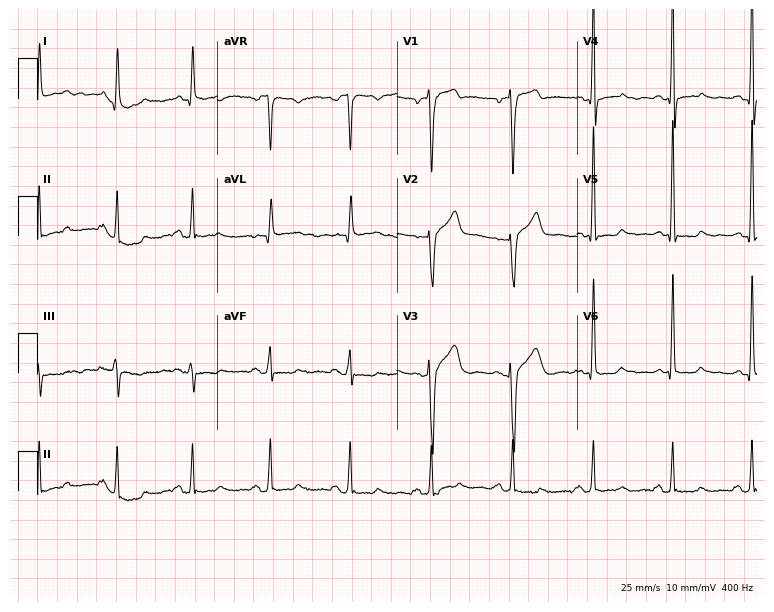
12-lead ECG (7.3-second recording at 400 Hz) from a man, 48 years old. Screened for six findings — first-degree AV block, right bundle branch block (RBBB), left bundle branch block (LBBB), sinus bradycardia, atrial fibrillation (AF), sinus tachycardia — none is recorded. Findings outside these six are not listed.